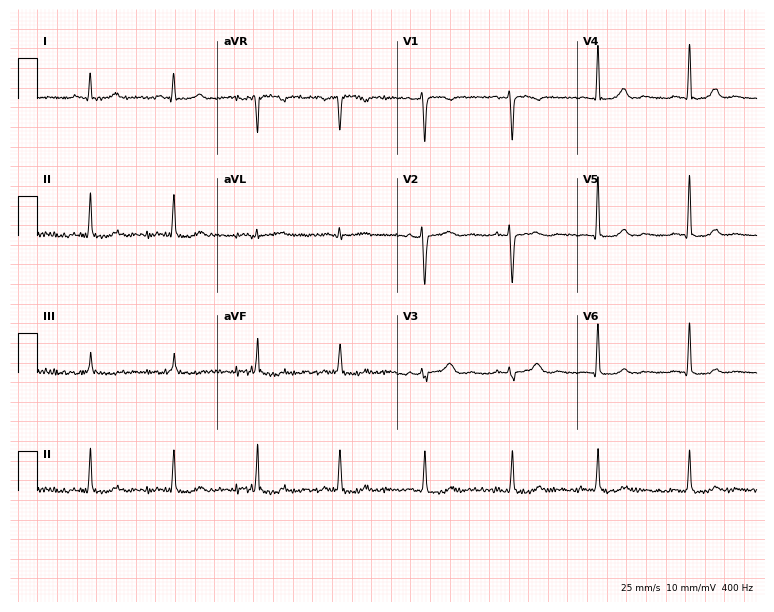
Resting 12-lead electrocardiogram (7.3-second recording at 400 Hz). Patient: a 34-year-old female. None of these six findings is recorded: first-degree AV block, right bundle branch block, left bundle branch block, sinus bradycardia, atrial fibrillation, sinus tachycardia.